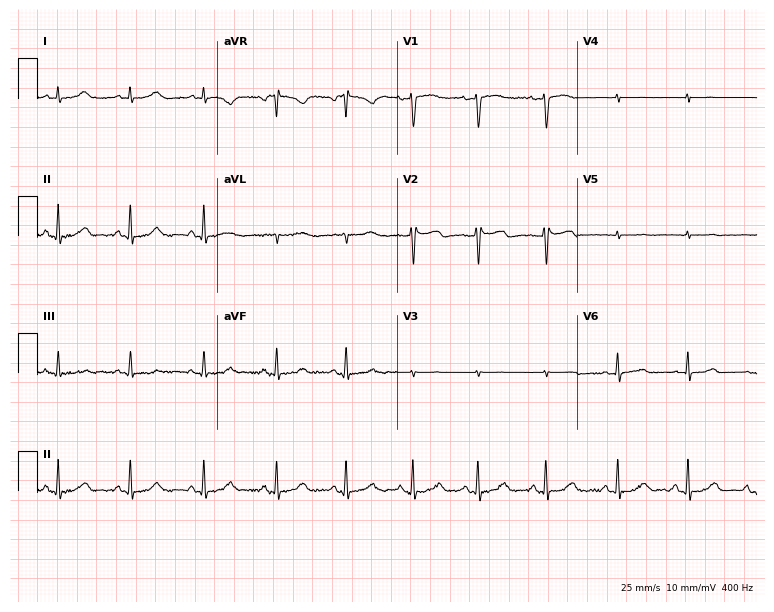
Resting 12-lead electrocardiogram. Patient: a 66-year-old woman. Read as a normal ECG.